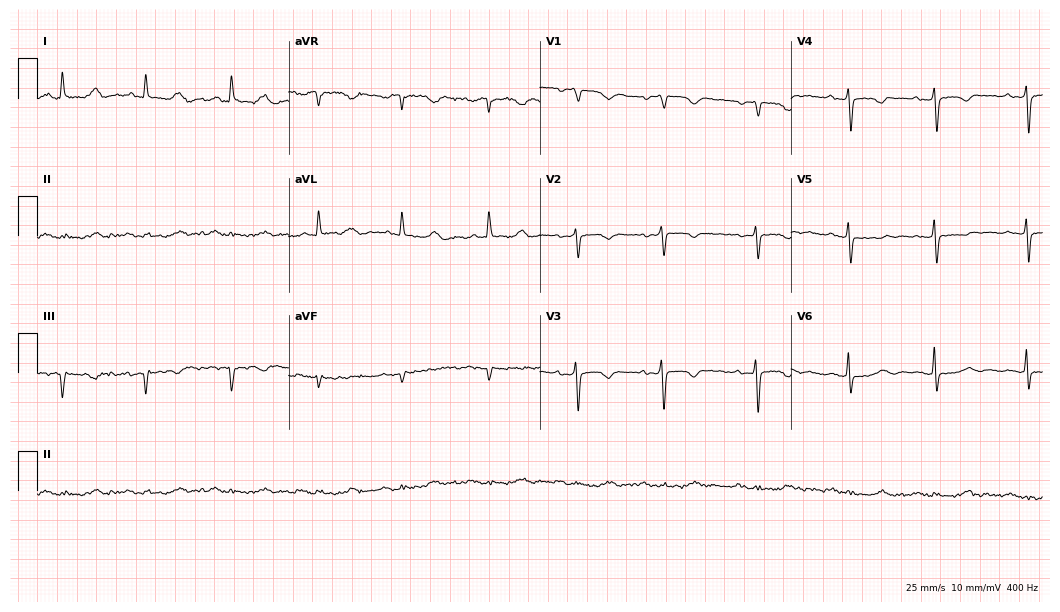
12-lead ECG from an 81-year-old woman (10.2-second recording at 400 Hz). No first-degree AV block, right bundle branch block, left bundle branch block, sinus bradycardia, atrial fibrillation or sinus tachycardia recorded for this tracing. Other findings, if any, are not listed.